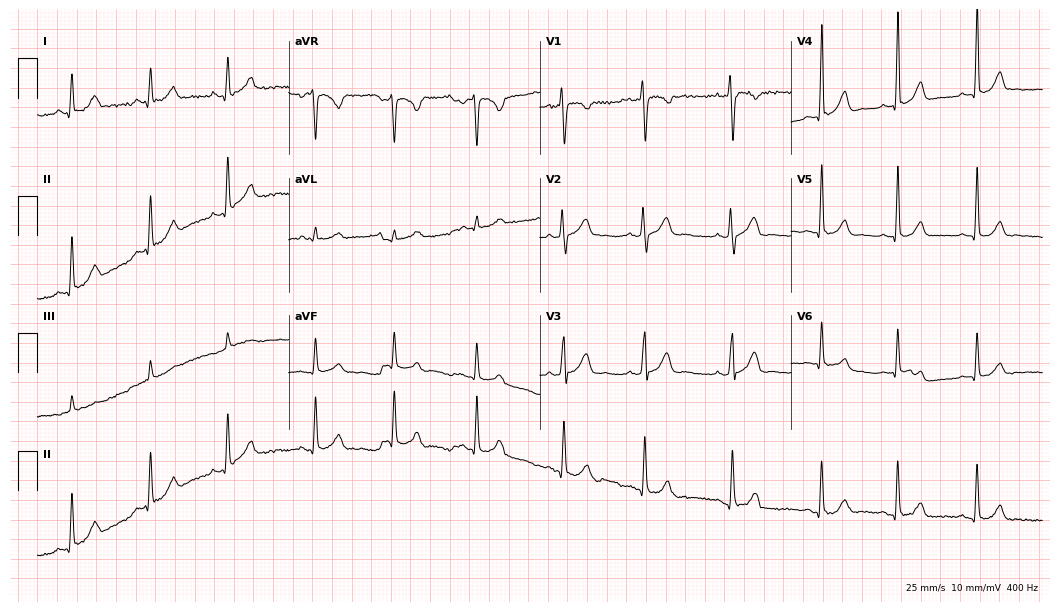
ECG (10.2-second recording at 400 Hz) — a female patient, 28 years old. Labelled as a normal ECG.